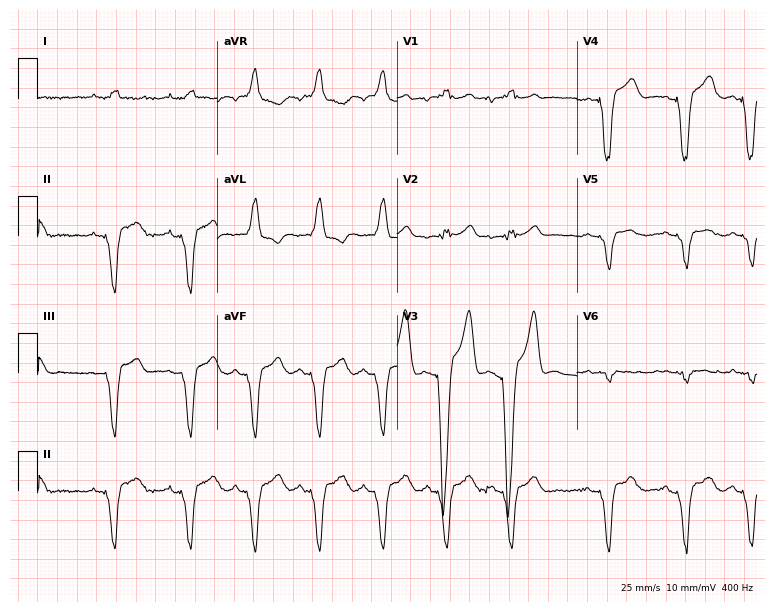
ECG — a man, 58 years old. Screened for six findings — first-degree AV block, right bundle branch block (RBBB), left bundle branch block (LBBB), sinus bradycardia, atrial fibrillation (AF), sinus tachycardia — none is recorded.